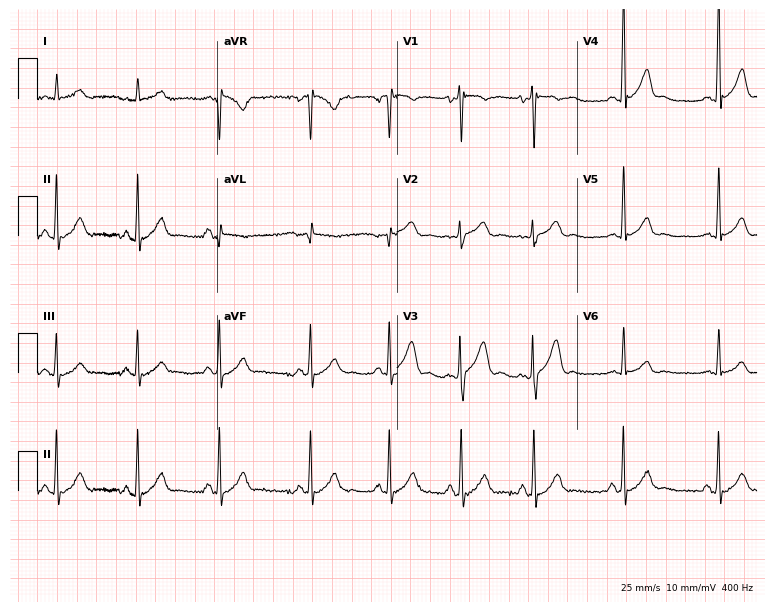
Standard 12-lead ECG recorded from an 18-year-old male (7.3-second recording at 400 Hz). Read as a normal ECG.